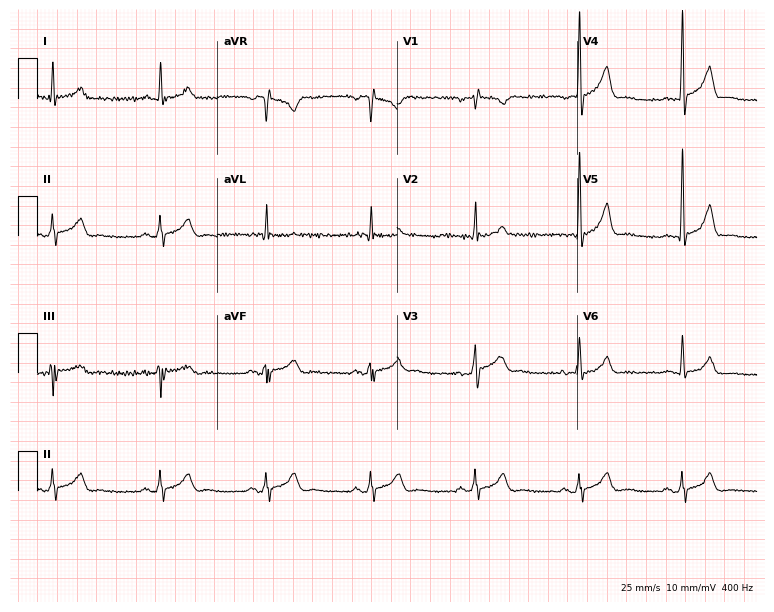
ECG — a 59-year-old man. Labelled as a normal ECG.